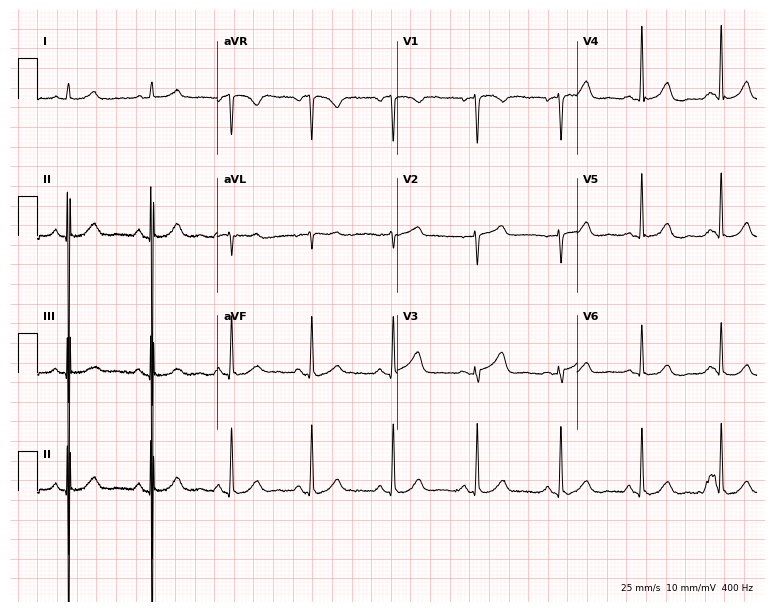
ECG (7.3-second recording at 400 Hz) — a 65-year-old woman. Labelled as a normal ECG.